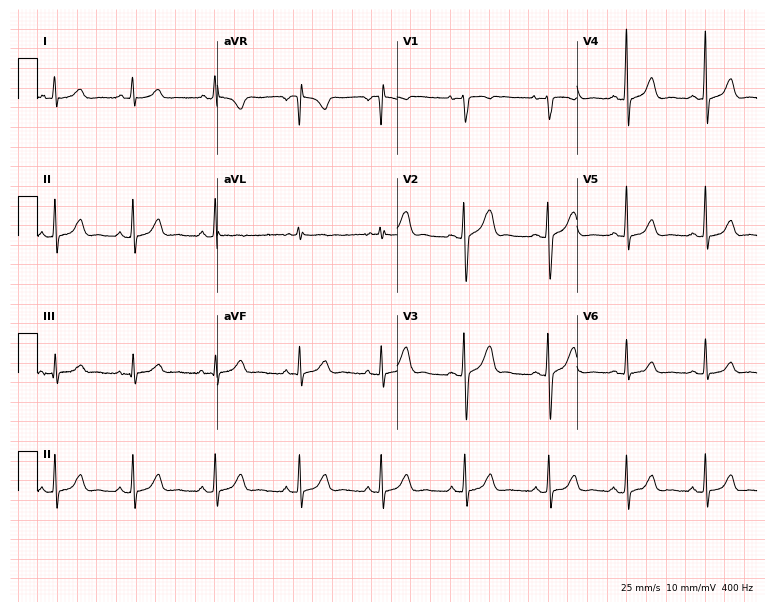
Standard 12-lead ECG recorded from a 33-year-old female (7.3-second recording at 400 Hz). Read as a normal ECG.